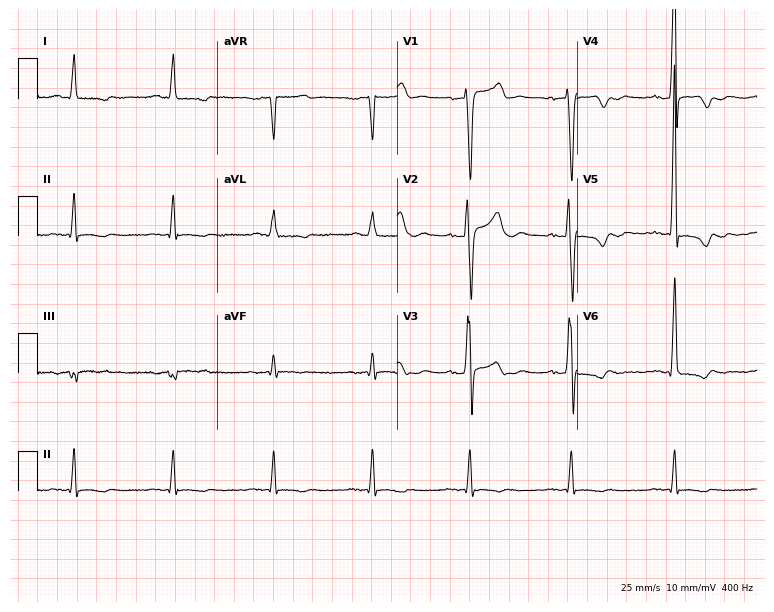
Resting 12-lead electrocardiogram. Patient: a male, 46 years old. None of these six findings is recorded: first-degree AV block, right bundle branch block (RBBB), left bundle branch block (LBBB), sinus bradycardia, atrial fibrillation (AF), sinus tachycardia. Other findings, if any, are not listed.